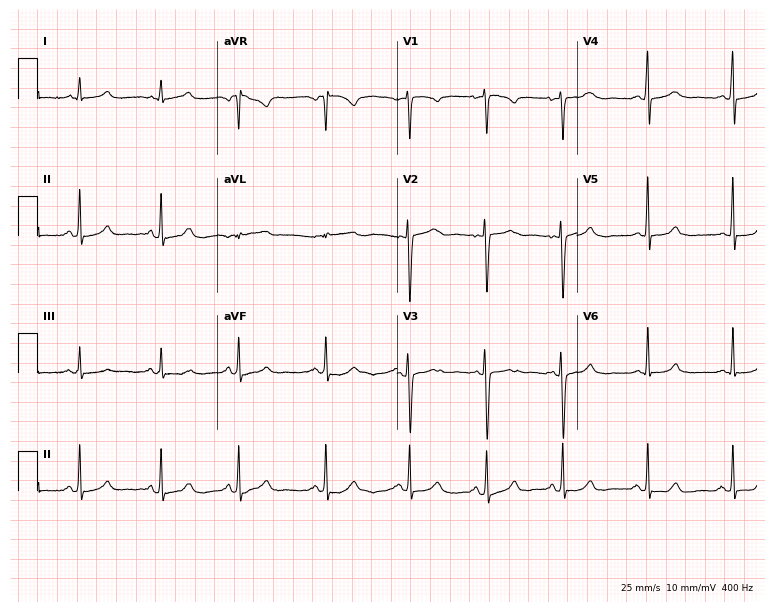
Electrocardiogram (7.3-second recording at 400 Hz), a female, 28 years old. Overall reading on record: normal ECG.